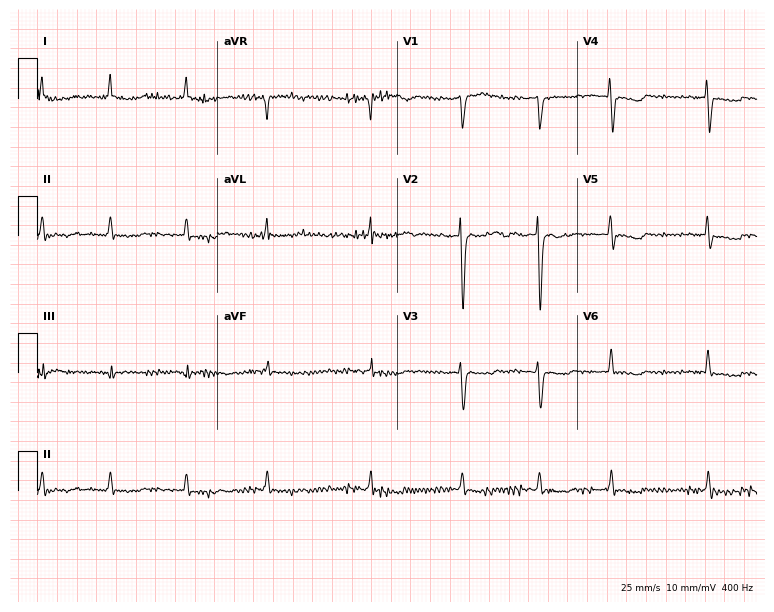
ECG (7.3-second recording at 400 Hz) — a 66-year-old female patient. Findings include atrial fibrillation (AF).